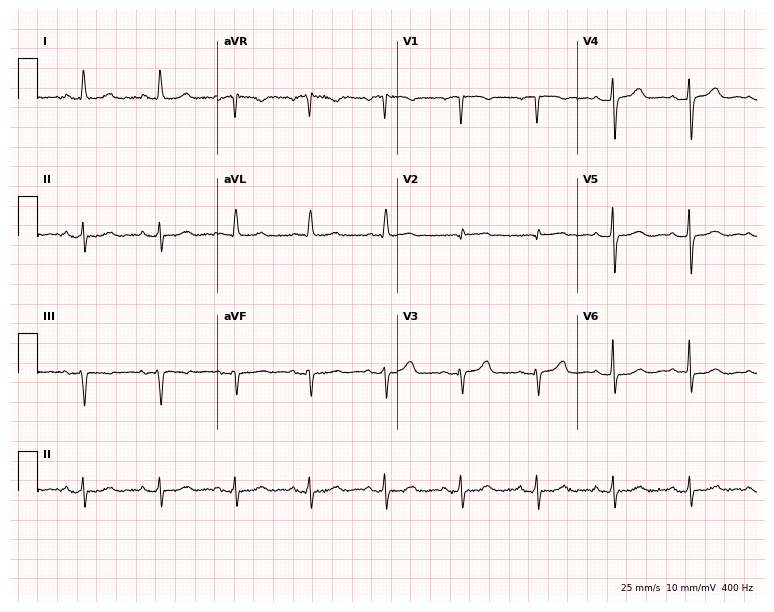
ECG — a woman, 73 years old. Screened for six findings — first-degree AV block, right bundle branch block (RBBB), left bundle branch block (LBBB), sinus bradycardia, atrial fibrillation (AF), sinus tachycardia — none is recorded.